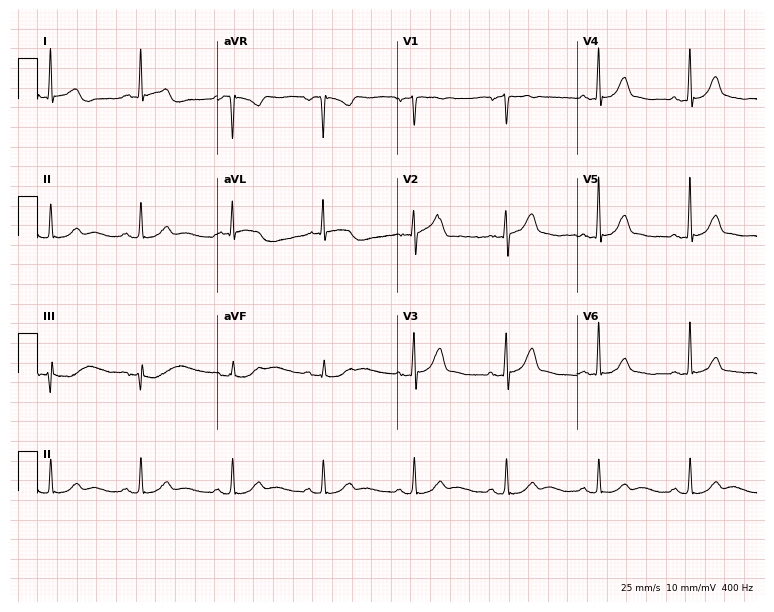
12-lead ECG from a male patient, 60 years old (7.3-second recording at 400 Hz). Recorded interpretation: within normal limits.